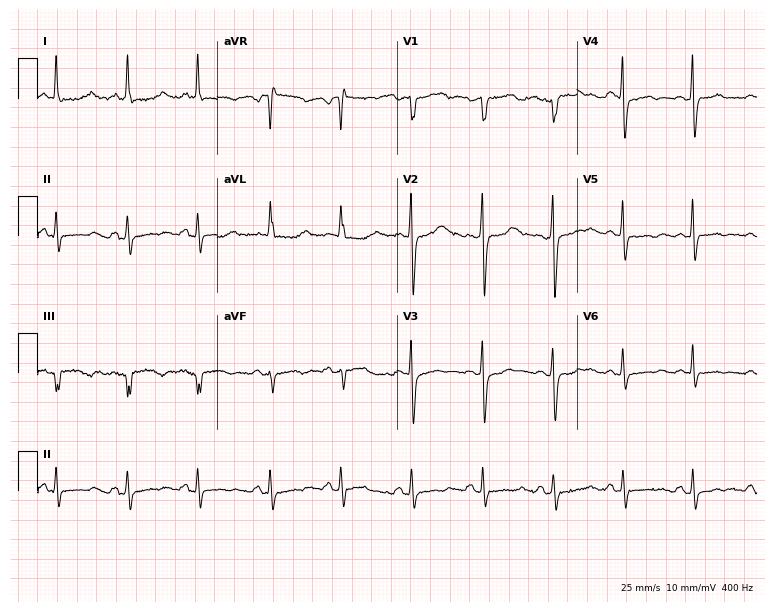
Resting 12-lead electrocardiogram. Patient: a woman, 56 years old. None of these six findings is recorded: first-degree AV block, right bundle branch block, left bundle branch block, sinus bradycardia, atrial fibrillation, sinus tachycardia.